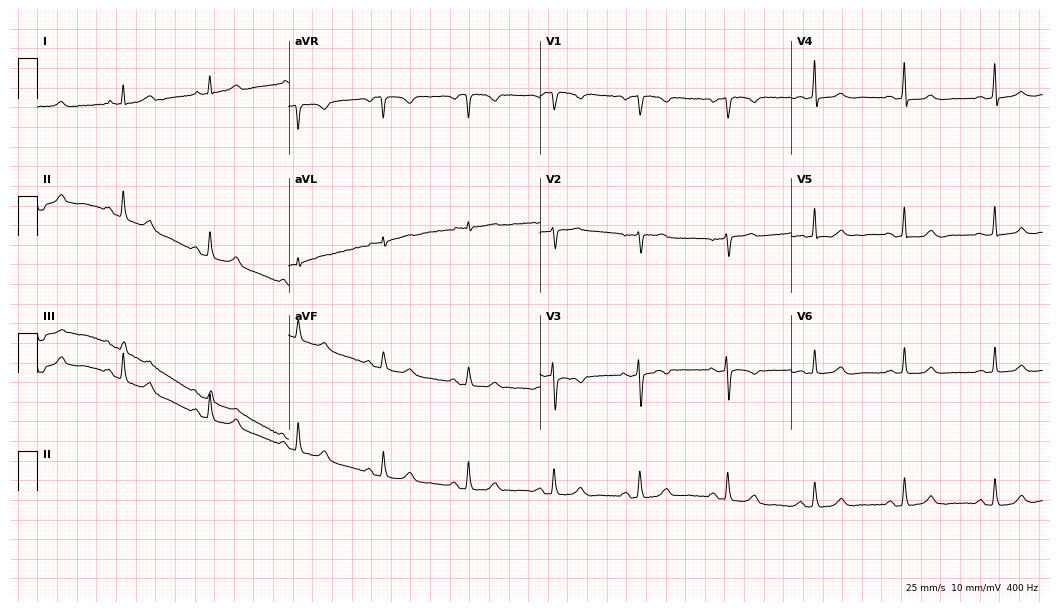
Standard 12-lead ECG recorded from a woman, 43 years old. None of these six findings is recorded: first-degree AV block, right bundle branch block (RBBB), left bundle branch block (LBBB), sinus bradycardia, atrial fibrillation (AF), sinus tachycardia.